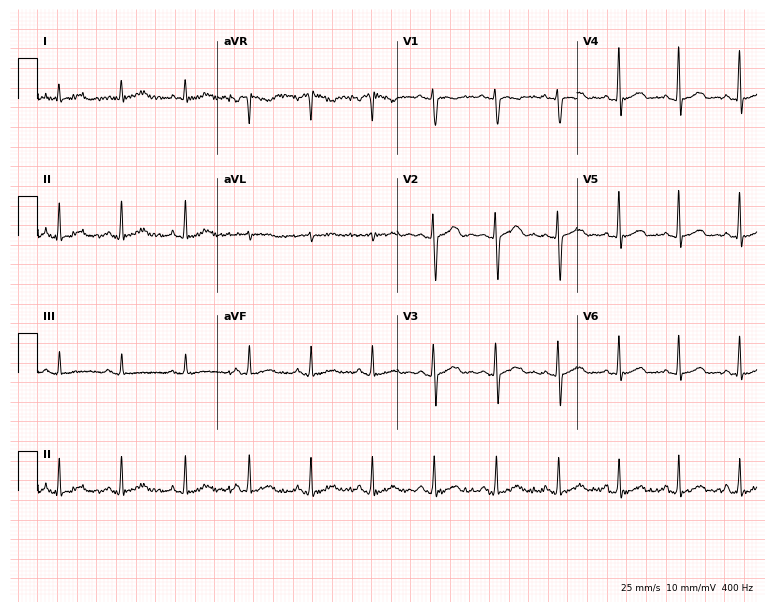
Standard 12-lead ECG recorded from a 25-year-old female. Read as a normal ECG.